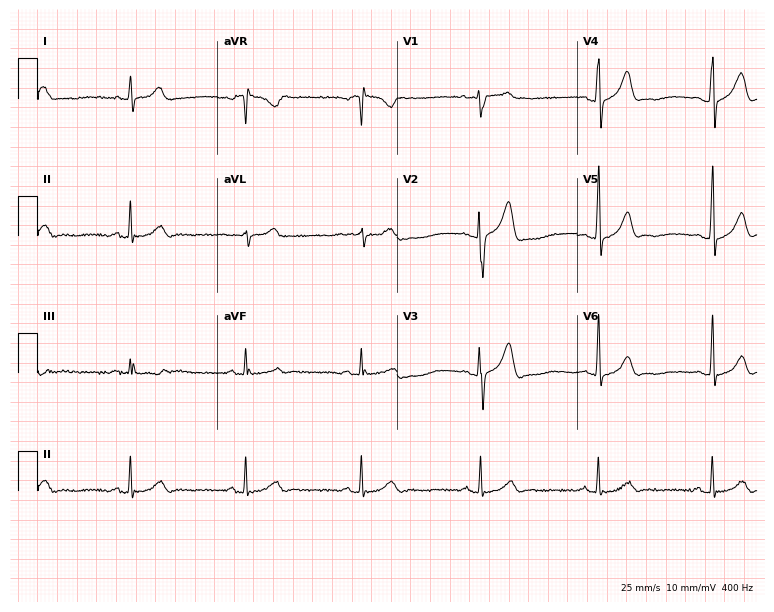
Resting 12-lead electrocardiogram. Patient: a male, 43 years old. Read as a normal ECG.